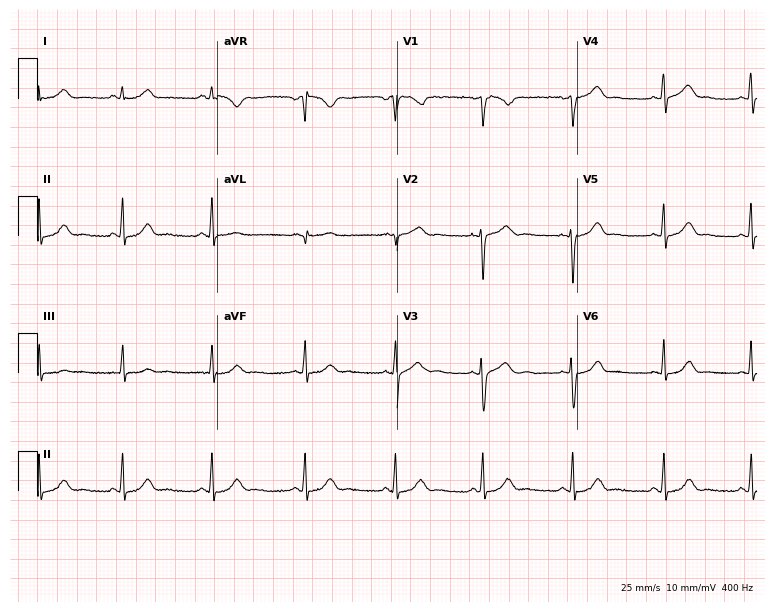
Electrocardiogram, a woman, 25 years old. Overall reading on record: normal ECG.